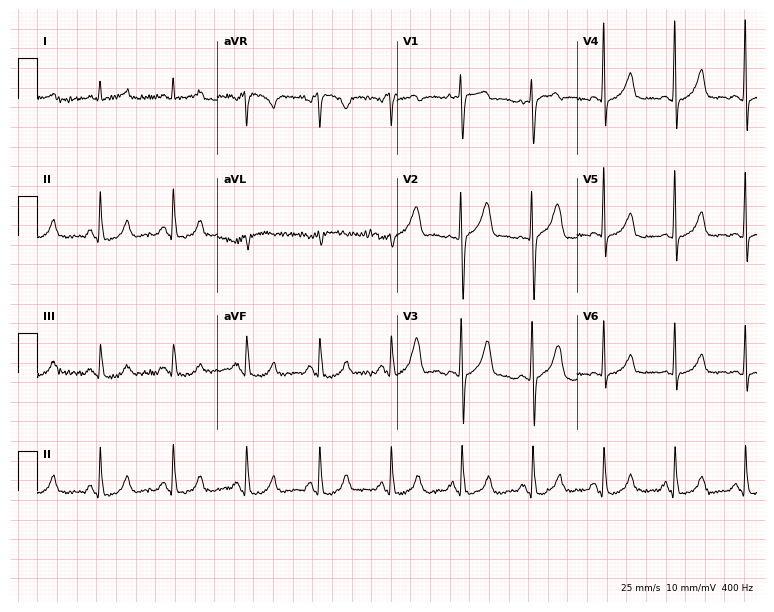
ECG — a female patient, 51 years old. Screened for six findings — first-degree AV block, right bundle branch block (RBBB), left bundle branch block (LBBB), sinus bradycardia, atrial fibrillation (AF), sinus tachycardia — none is recorded.